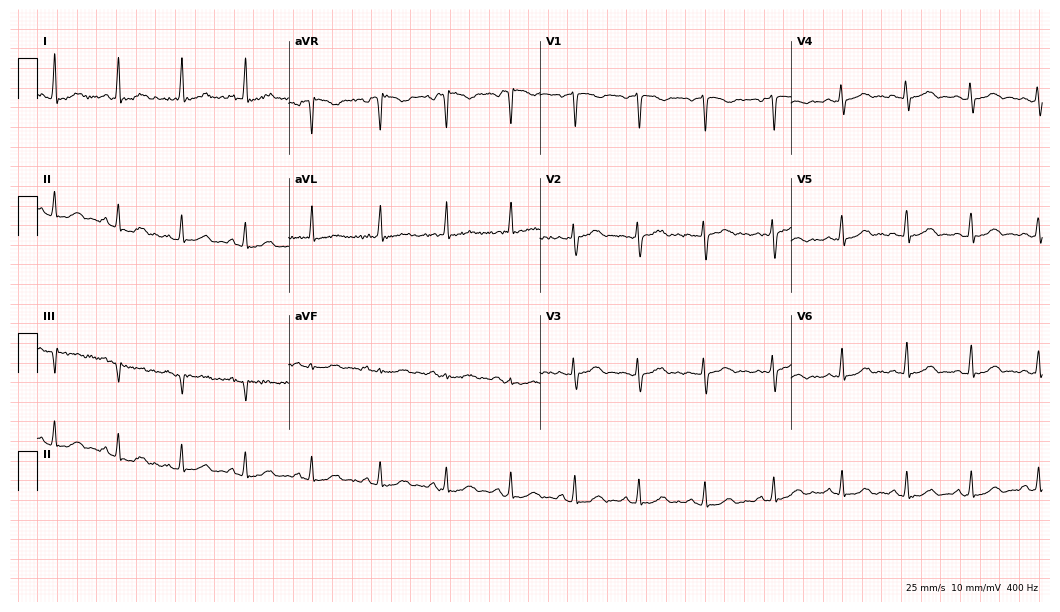
12-lead ECG from a 49-year-old woman (10.2-second recording at 400 Hz). Recorded interpretation: within normal limits.